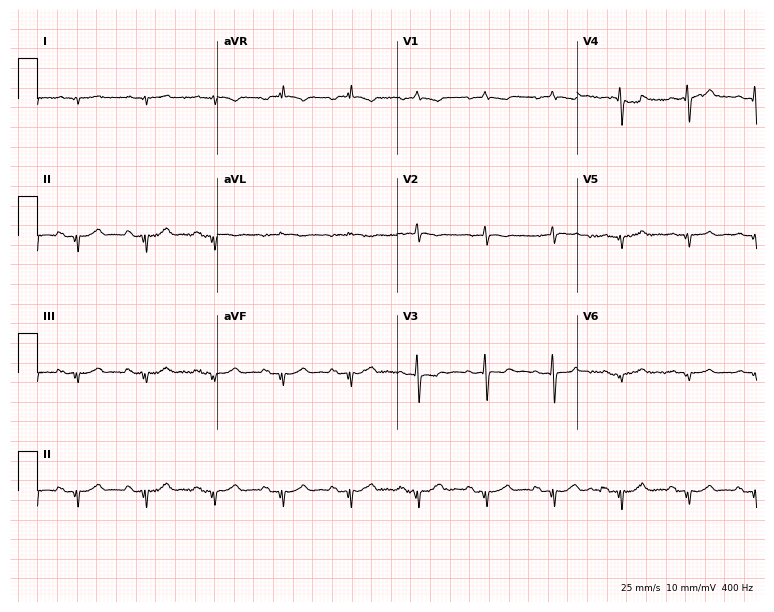
ECG — a man, 70 years old. Screened for six findings — first-degree AV block, right bundle branch block (RBBB), left bundle branch block (LBBB), sinus bradycardia, atrial fibrillation (AF), sinus tachycardia — none is recorded. Only these six findings were labelled.